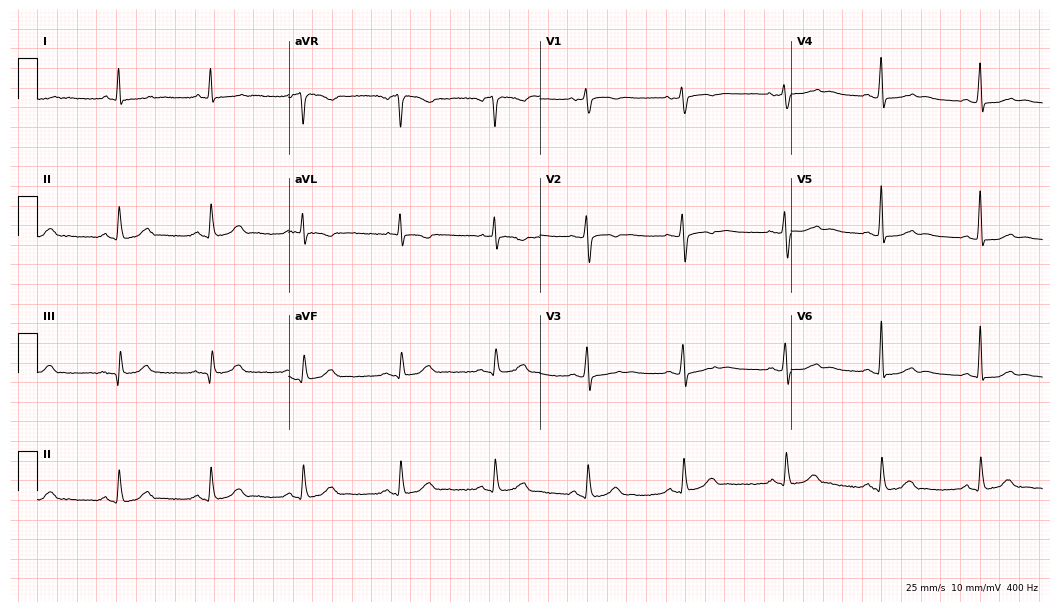
12-lead ECG from an 81-year-old woman. No first-degree AV block, right bundle branch block, left bundle branch block, sinus bradycardia, atrial fibrillation or sinus tachycardia recorded for this tracing. Findings outside these six are not listed.